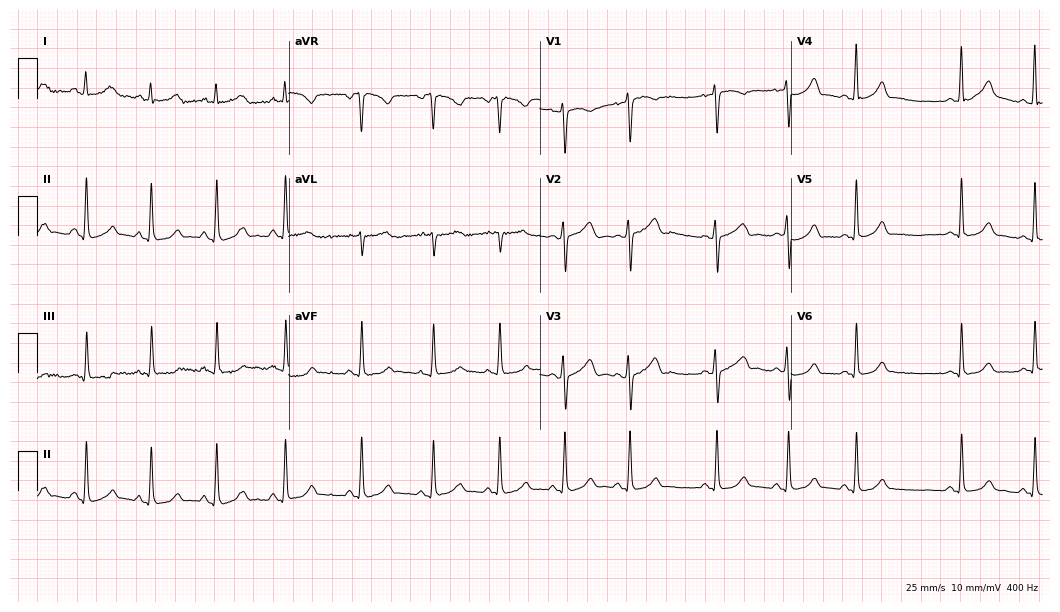
12-lead ECG (10.2-second recording at 400 Hz) from a 24-year-old woman. Labelled as a normal ECG.